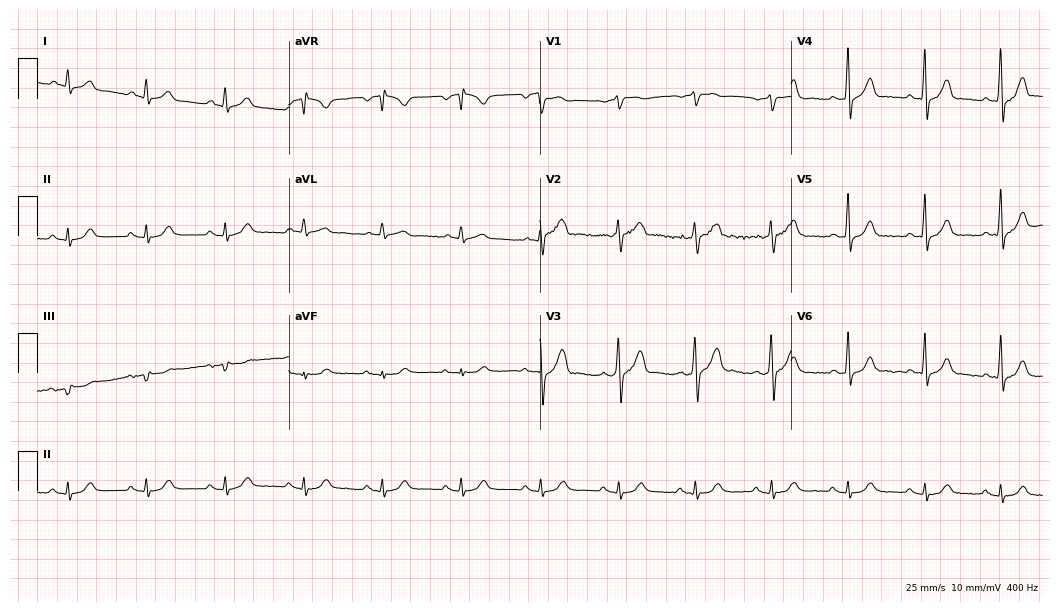
12-lead ECG (10.2-second recording at 400 Hz) from a male patient, 71 years old. Screened for six findings — first-degree AV block, right bundle branch block, left bundle branch block, sinus bradycardia, atrial fibrillation, sinus tachycardia — none is recorded. Findings outside these six are not listed.